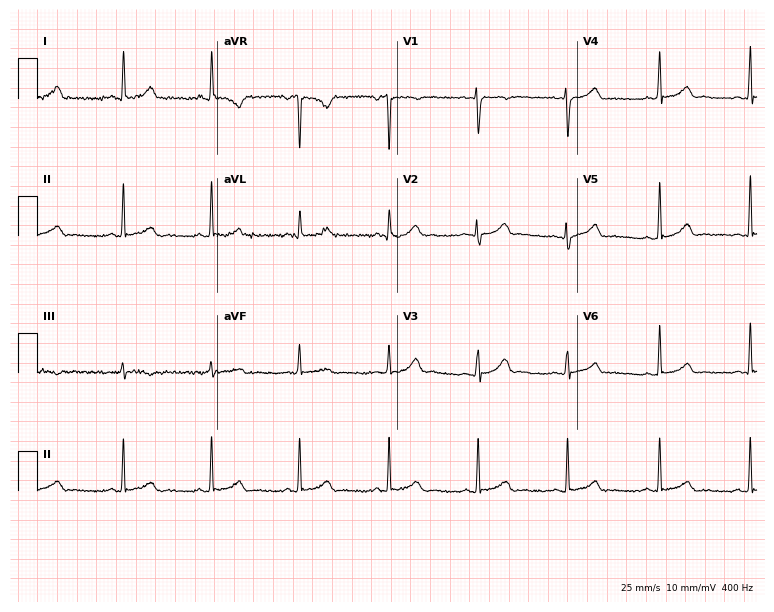
Electrocardiogram, a 36-year-old woman. Overall reading on record: normal ECG.